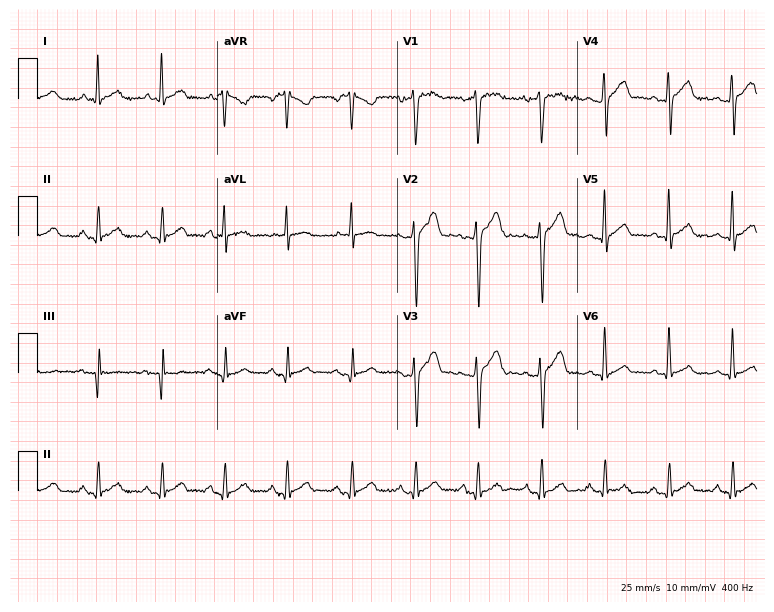
Standard 12-lead ECG recorded from a male patient, 30 years old (7.3-second recording at 400 Hz). Read as a normal ECG.